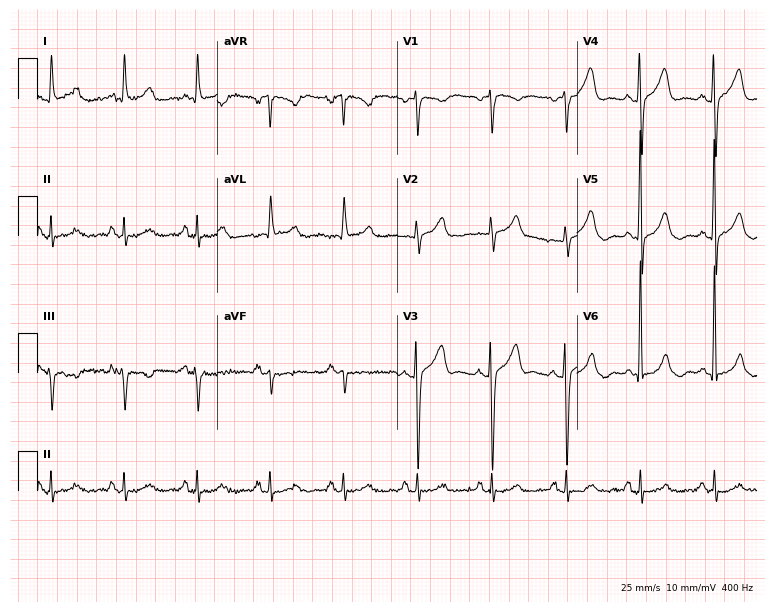
ECG (7.3-second recording at 400 Hz) — a 63-year-old man. Screened for six findings — first-degree AV block, right bundle branch block, left bundle branch block, sinus bradycardia, atrial fibrillation, sinus tachycardia — none is recorded. Only these six findings were labelled.